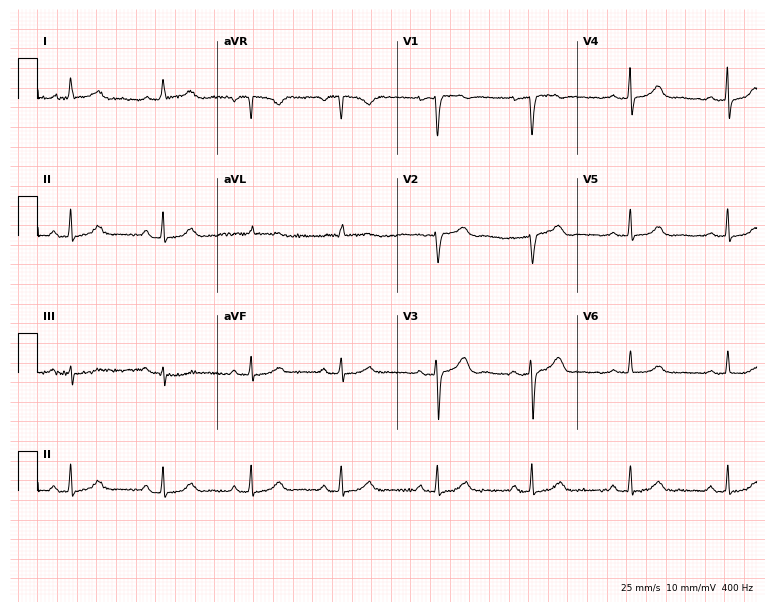
Standard 12-lead ECG recorded from a 31-year-old female patient. Read as a normal ECG.